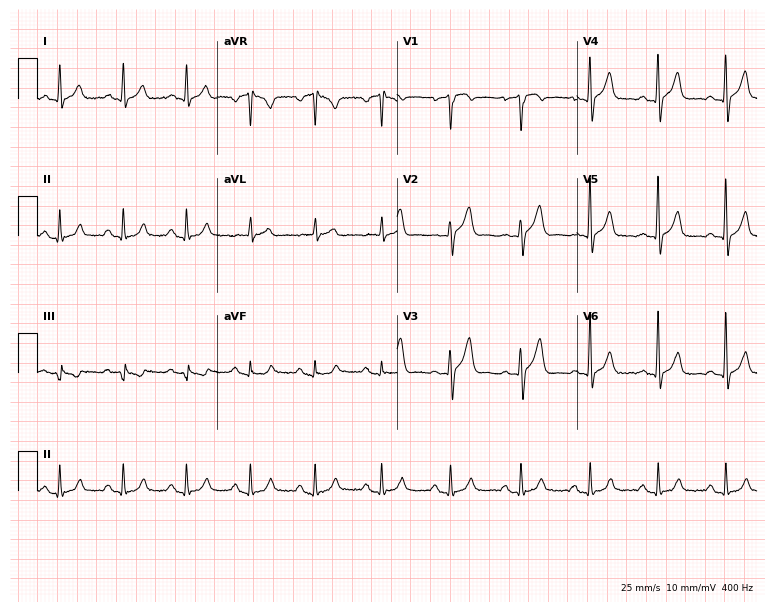
Electrocardiogram (7.3-second recording at 400 Hz), a 53-year-old male. Of the six screened findings (first-degree AV block, right bundle branch block, left bundle branch block, sinus bradycardia, atrial fibrillation, sinus tachycardia), none is recorded. Findings outside these six are not listed.